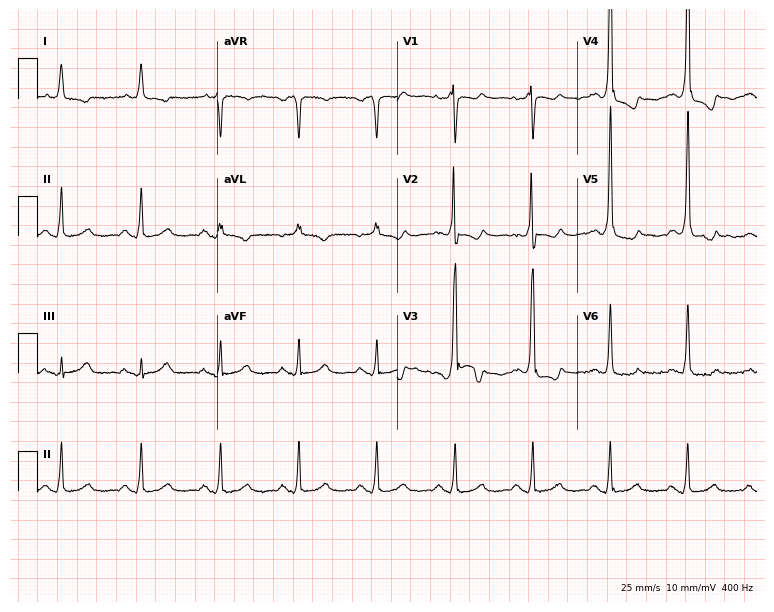
12-lead ECG from a male, 79 years old (7.3-second recording at 400 Hz). No first-degree AV block, right bundle branch block (RBBB), left bundle branch block (LBBB), sinus bradycardia, atrial fibrillation (AF) or sinus tachycardia recorded for this tracing. Only these six findings were labelled.